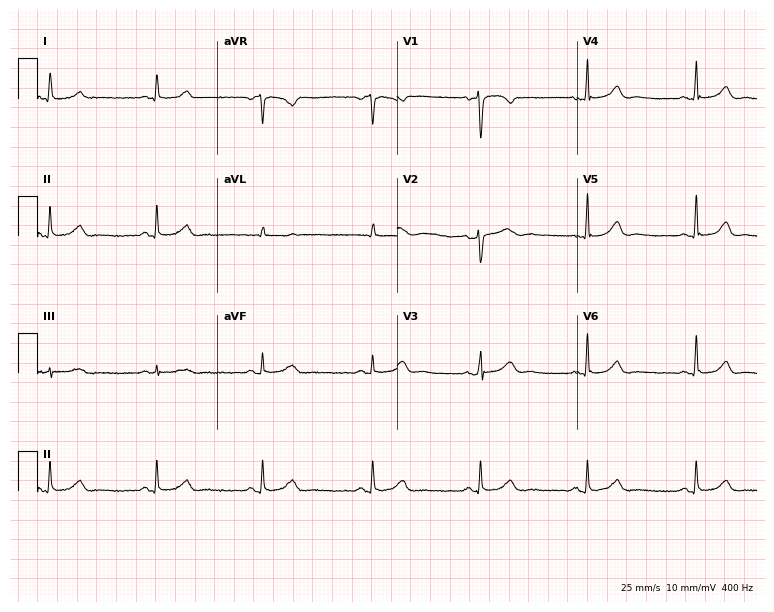
Electrocardiogram (7.3-second recording at 400 Hz), a 48-year-old female patient. Overall reading on record: normal ECG.